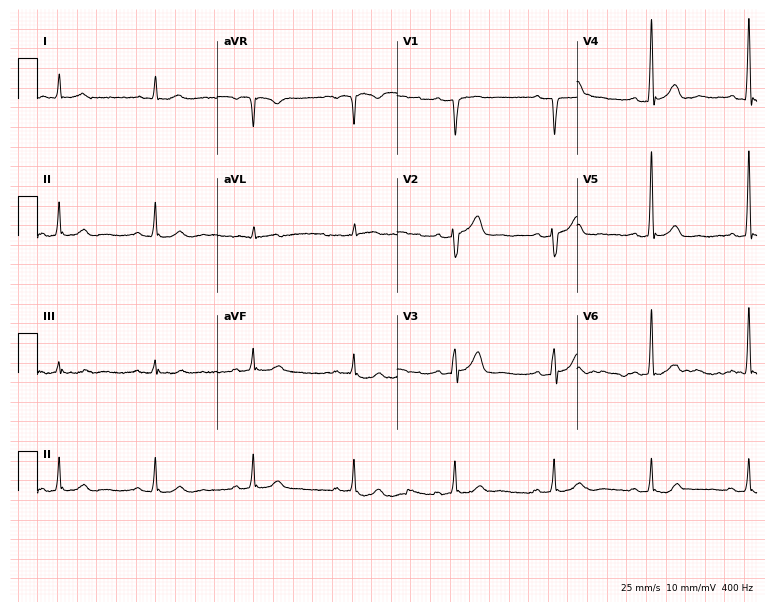
Electrocardiogram (7.3-second recording at 400 Hz), a man, 73 years old. Overall reading on record: normal ECG.